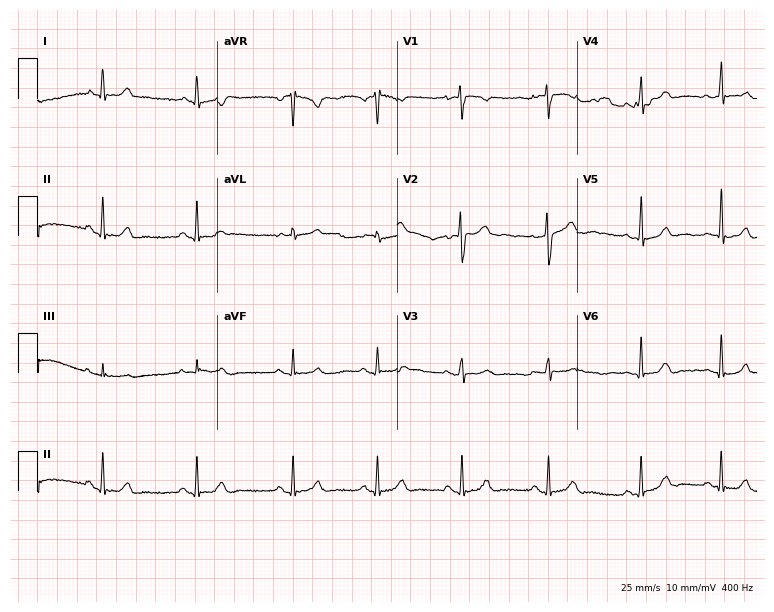
Electrocardiogram, a female patient, 30 years old. Overall reading on record: normal ECG.